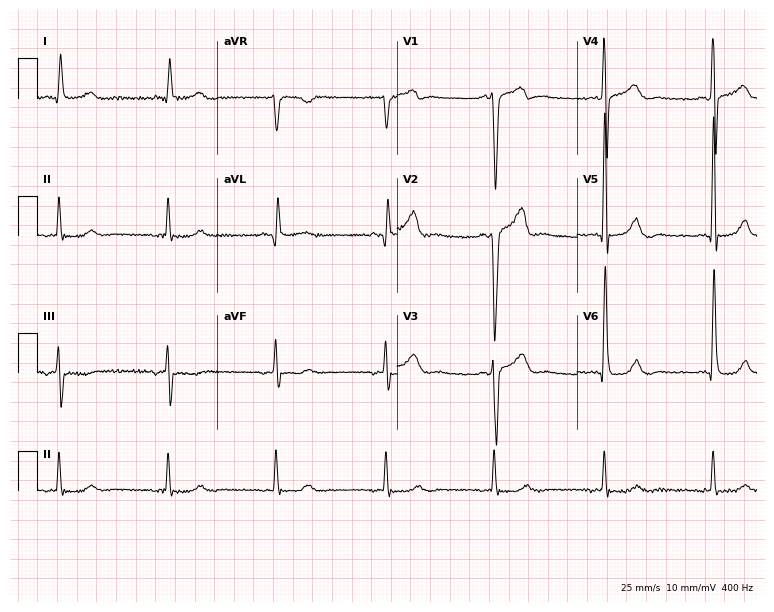
12-lead ECG from a 71-year-old male. Screened for six findings — first-degree AV block, right bundle branch block (RBBB), left bundle branch block (LBBB), sinus bradycardia, atrial fibrillation (AF), sinus tachycardia — none is recorded. Only these six findings were labelled.